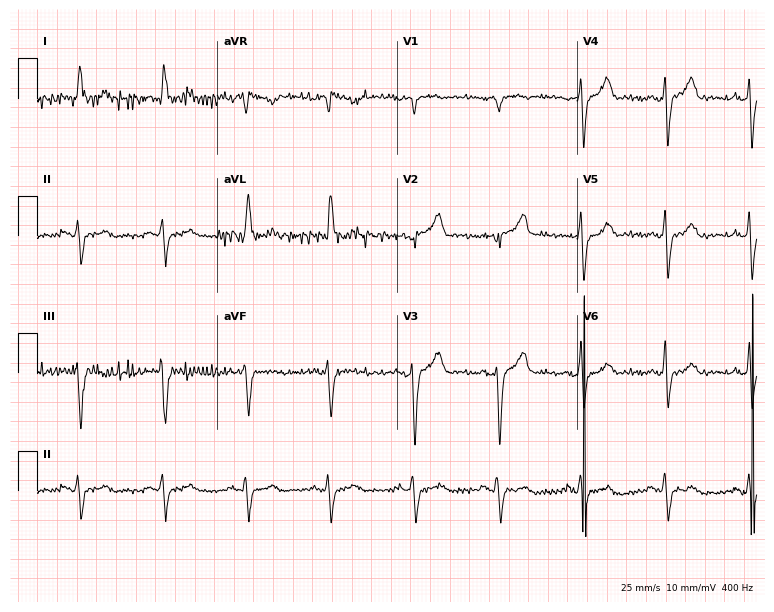
Standard 12-lead ECG recorded from a female patient, 82 years old. None of these six findings is recorded: first-degree AV block, right bundle branch block, left bundle branch block, sinus bradycardia, atrial fibrillation, sinus tachycardia. Other findings, if any, are not listed.